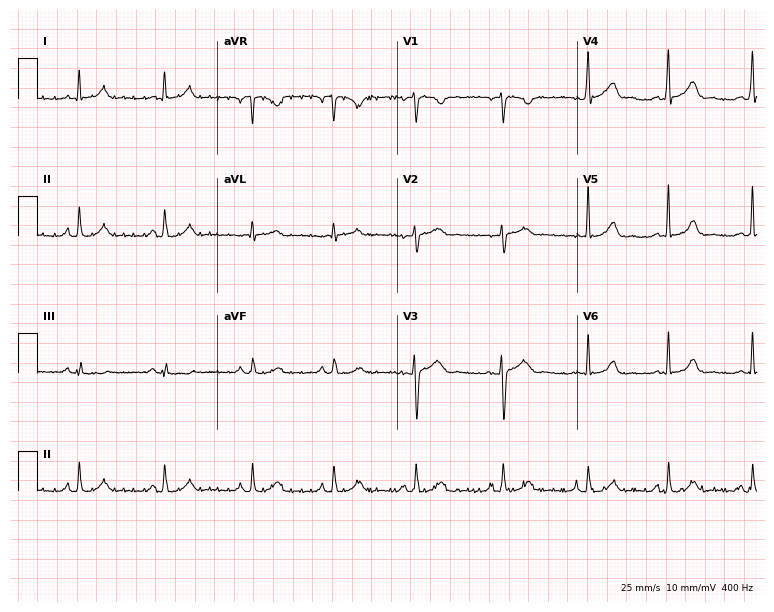
12-lead ECG (7.3-second recording at 400 Hz) from a woman, 49 years old. Labelled as a normal ECG.